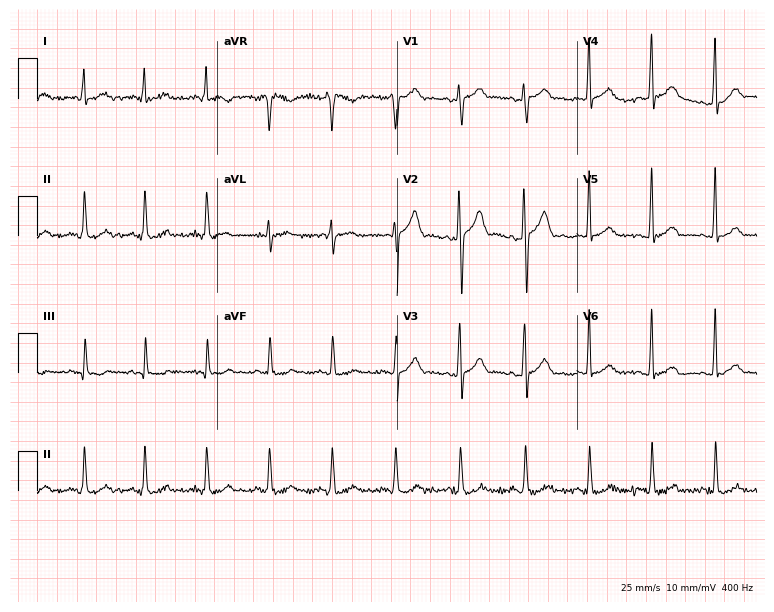
Electrocardiogram (7.3-second recording at 400 Hz), a 33-year-old male patient. Overall reading on record: normal ECG.